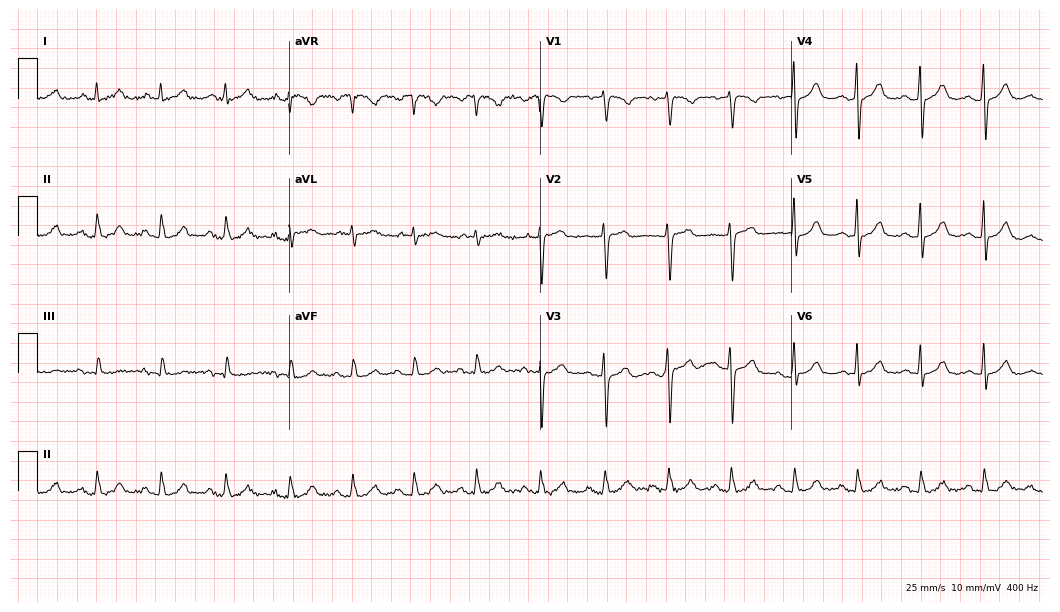
Resting 12-lead electrocardiogram. Patient: a 55-year-old man. None of these six findings is recorded: first-degree AV block, right bundle branch block, left bundle branch block, sinus bradycardia, atrial fibrillation, sinus tachycardia. Findings outside these six are not listed.